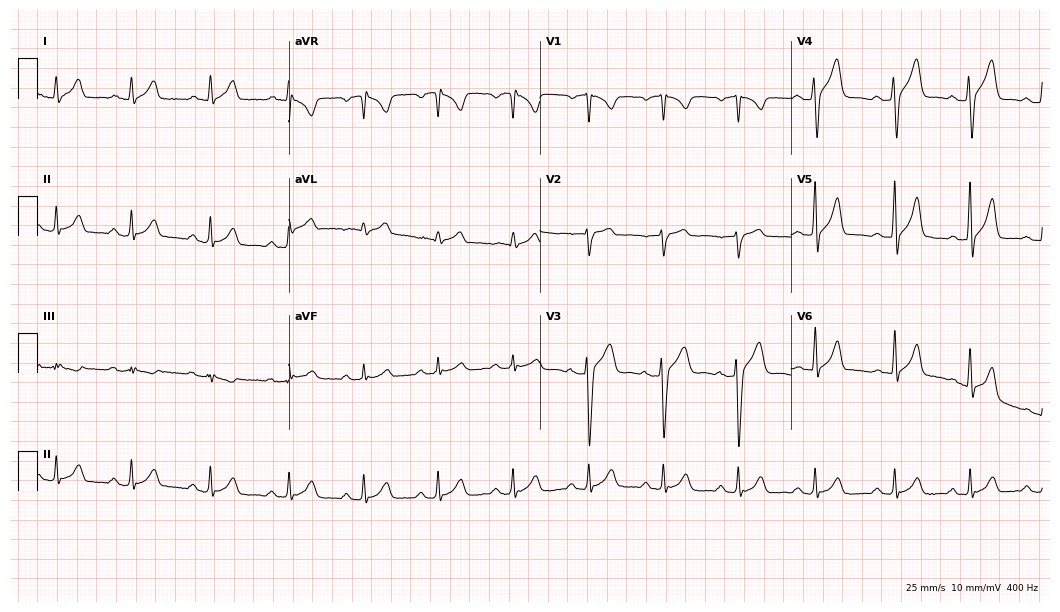
Electrocardiogram (10.2-second recording at 400 Hz), a male patient, 24 years old. Overall reading on record: normal ECG.